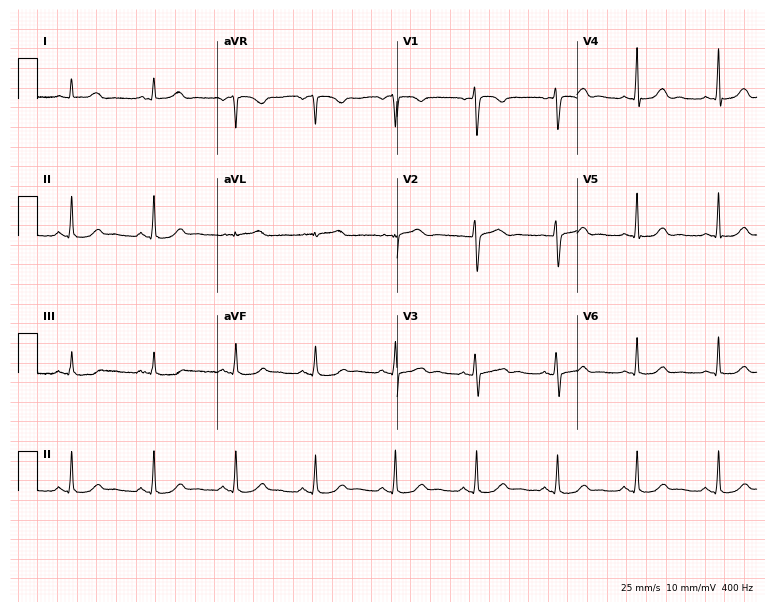
ECG (7.3-second recording at 400 Hz) — a female patient, 43 years old. Screened for six findings — first-degree AV block, right bundle branch block, left bundle branch block, sinus bradycardia, atrial fibrillation, sinus tachycardia — none is recorded.